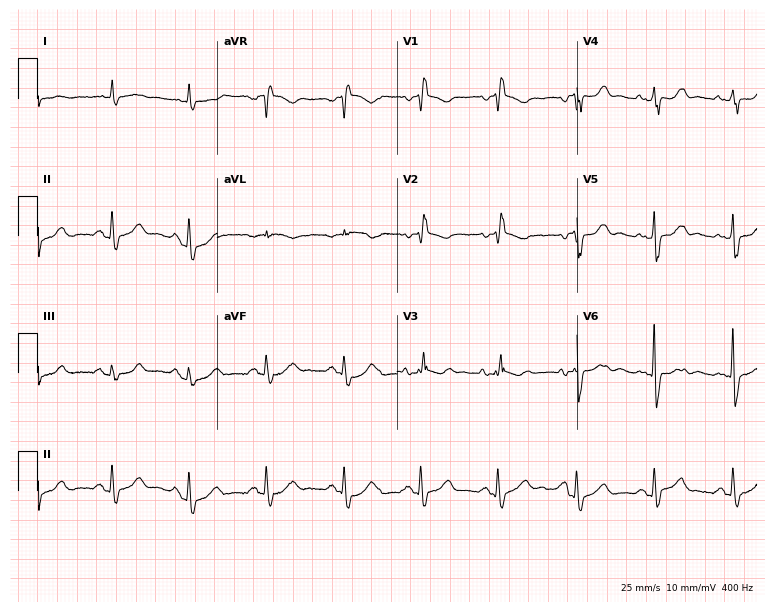
ECG (7.3-second recording at 400 Hz) — a 69-year-old woman. Findings include right bundle branch block.